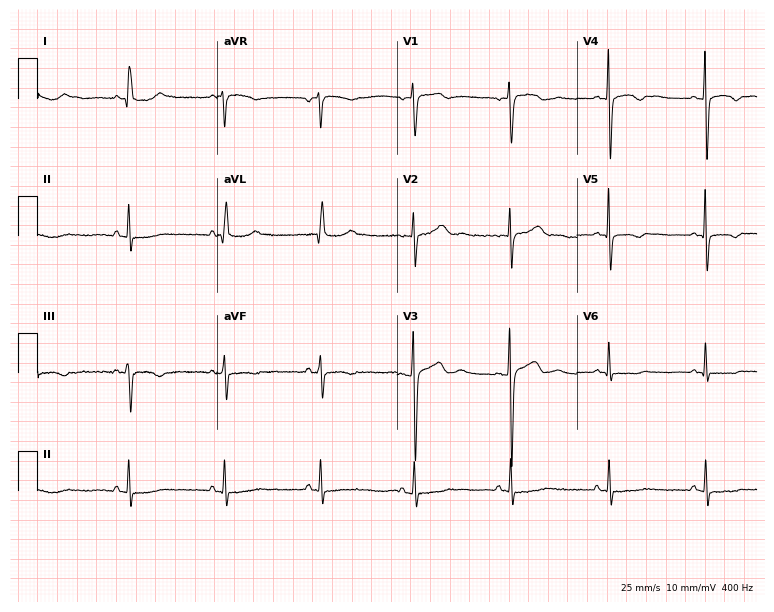
Electrocardiogram, a 53-year-old woman. Of the six screened findings (first-degree AV block, right bundle branch block (RBBB), left bundle branch block (LBBB), sinus bradycardia, atrial fibrillation (AF), sinus tachycardia), none is recorded.